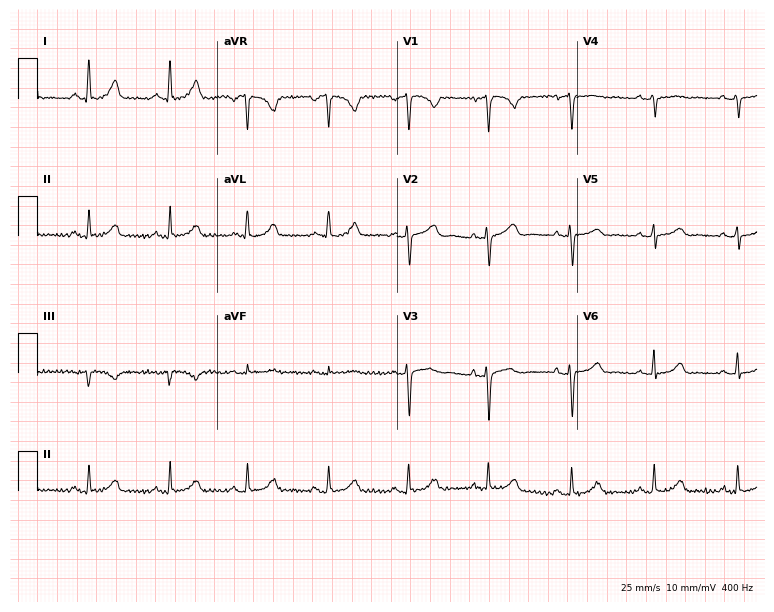
12-lead ECG (7.3-second recording at 400 Hz) from a 42-year-old female patient. Labelled as a normal ECG.